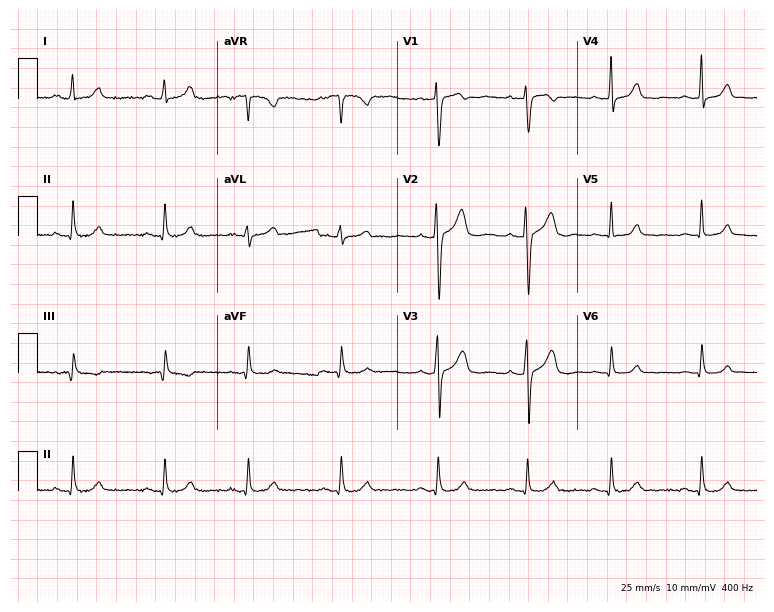
Electrocardiogram (7.3-second recording at 400 Hz), a woman, 28 years old. Overall reading on record: normal ECG.